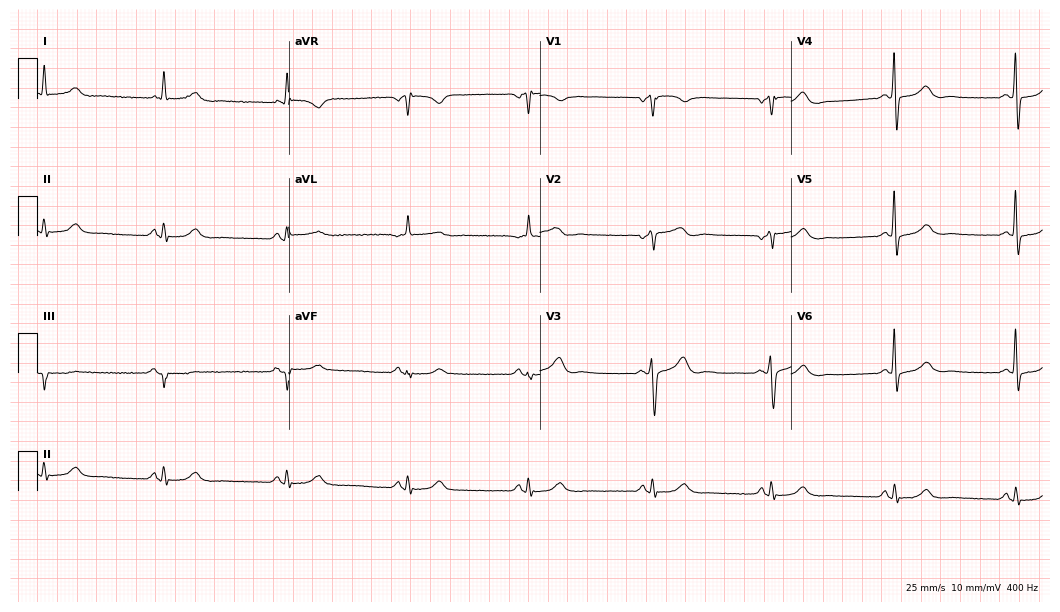
12-lead ECG from a 73-year-old male (10.2-second recording at 400 Hz). Recorded interpretation: within normal limits.